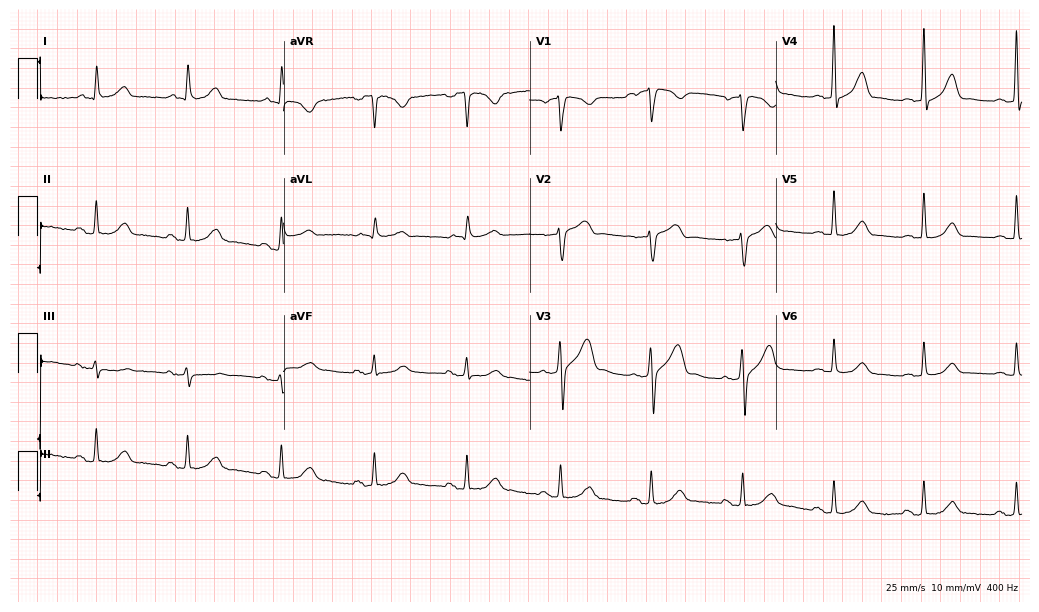
12-lead ECG from a 60-year-old male patient. Labelled as a normal ECG.